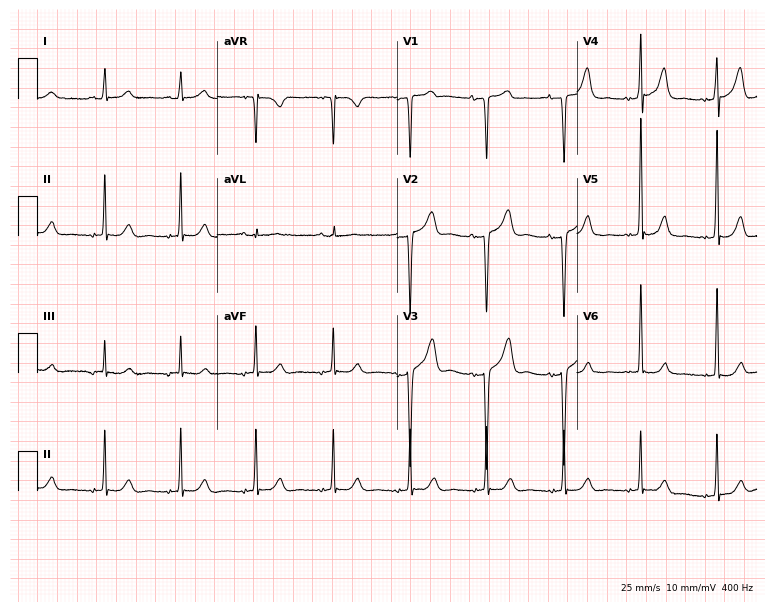
12-lead ECG from a 76-year-old female. Labelled as a normal ECG.